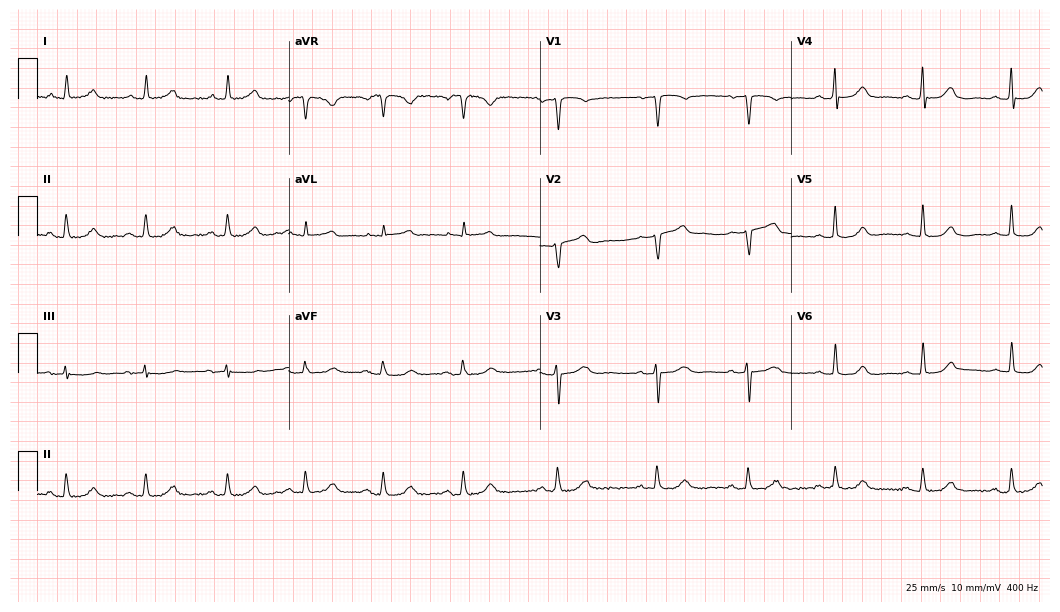
Electrocardiogram, a female, 67 years old. Overall reading on record: normal ECG.